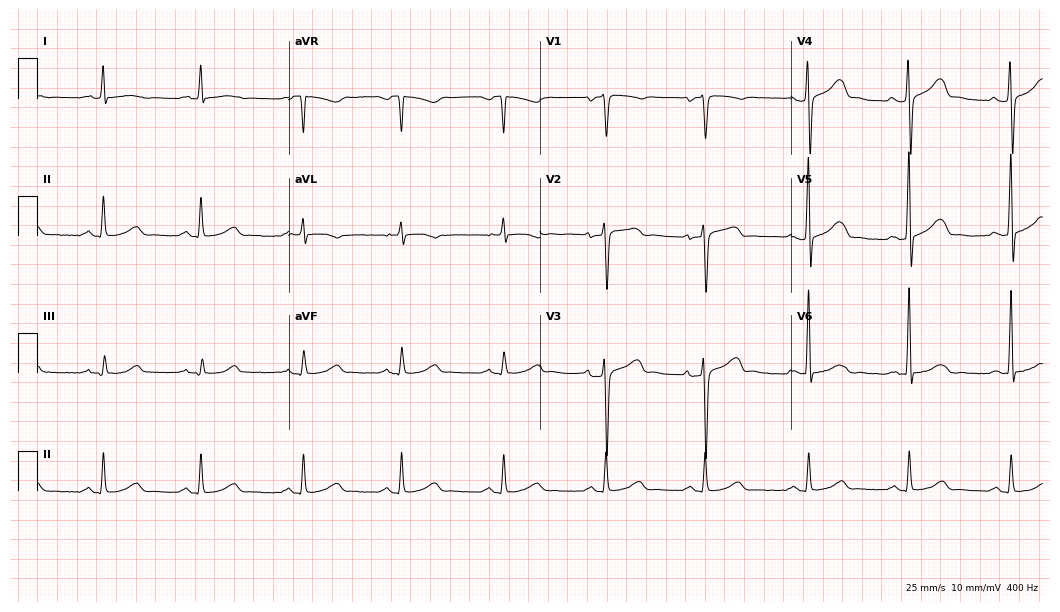
12-lead ECG (10.2-second recording at 400 Hz) from a man, 68 years old. Labelled as a normal ECG.